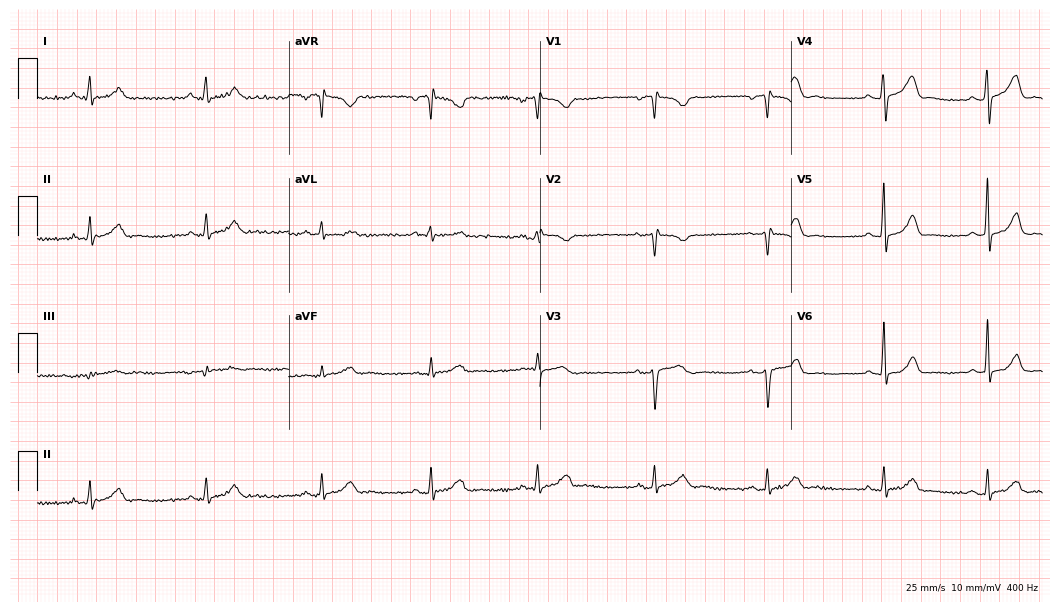
Resting 12-lead electrocardiogram. Patient: a 37-year-old female. None of these six findings is recorded: first-degree AV block, right bundle branch block, left bundle branch block, sinus bradycardia, atrial fibrillation, sinus tachycardia. Findings outside these six are not listed.